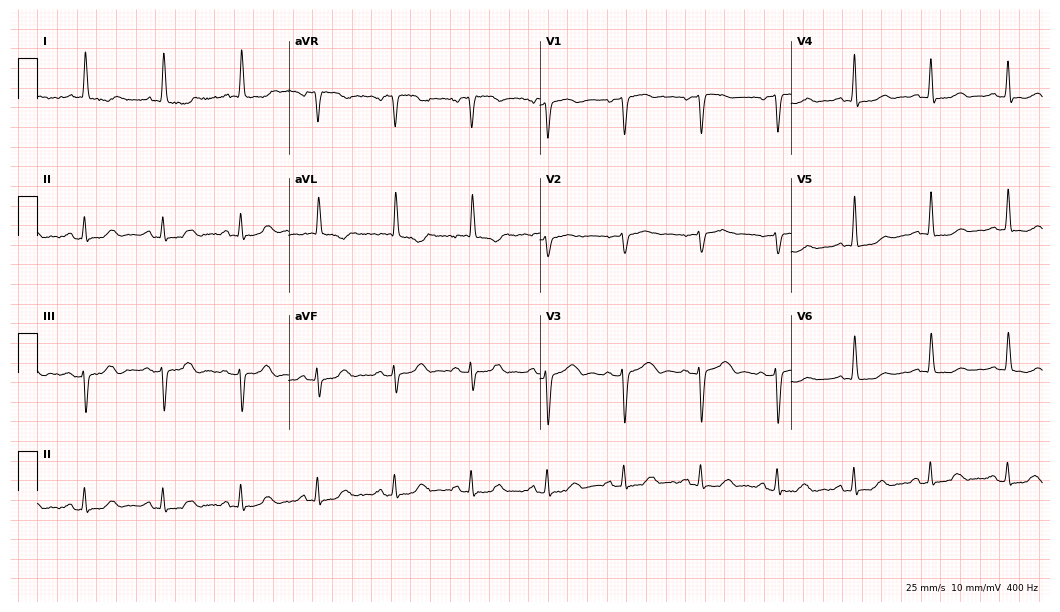
Standard 12-lead ECG recorded from a woman, 73 years old (10.2-second recording at 400 Hz). None of these six findings is recorded: first-degree AV block, right bundle branch block, left bundle branch block, sinus bradycardia, atrial fibrillation, sinus tachycardia. Other findings, if any, are not listed.